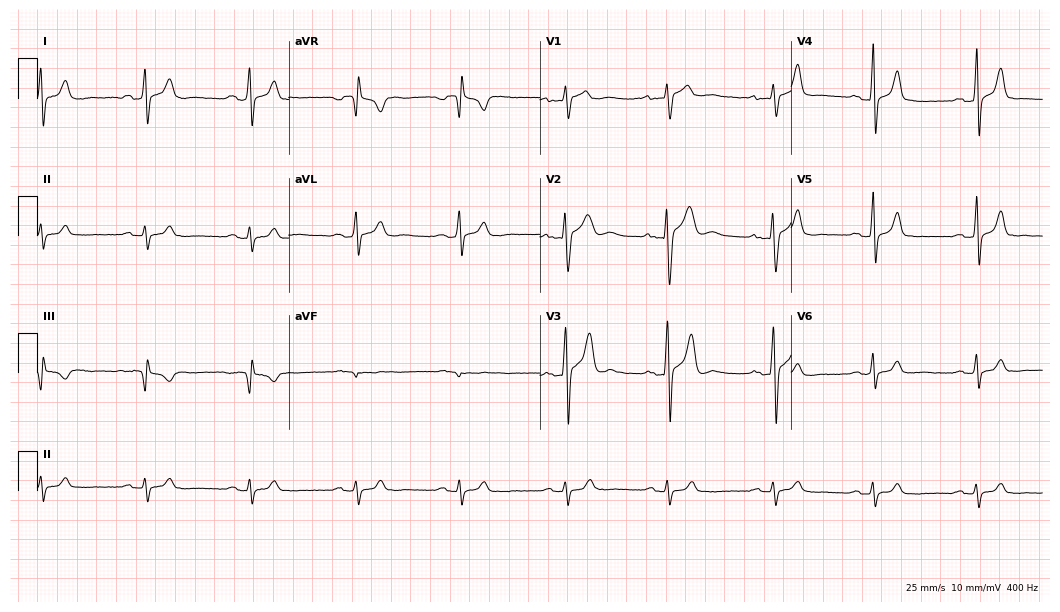
Electrocardiogram (10.2-second recording at 400 Hz), a 19-year-old man. Of the six screened findings (first-degree AV block, right bundle branch block (RBBB), left bundle branch block (LBBB), sinus bradycardia, atrial fibrillation (AF), sinus tachycardia), none is recorded.